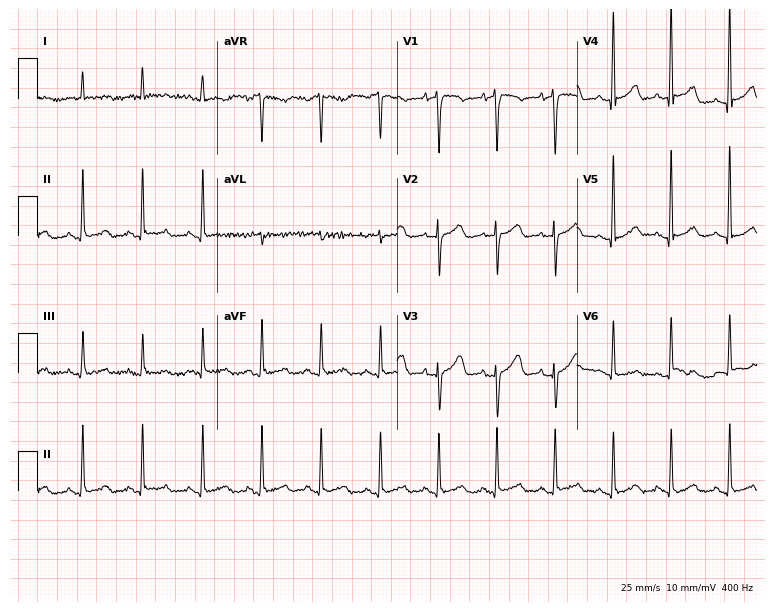
12-lead ECG from a woman, 67 years old. Recorded interpretation: within normal limits.